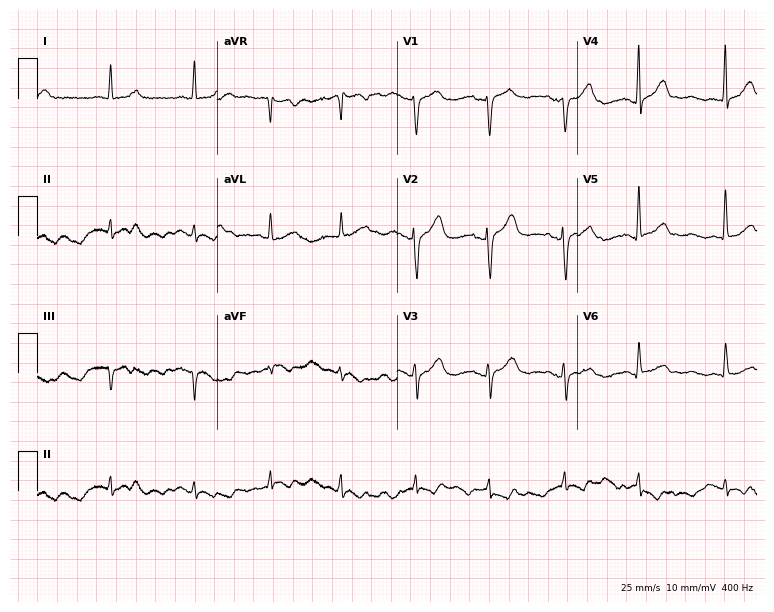
ECG (7.3-second recording at 400 Hz) — an 81-year-old man. Labelled as a normal ECG.